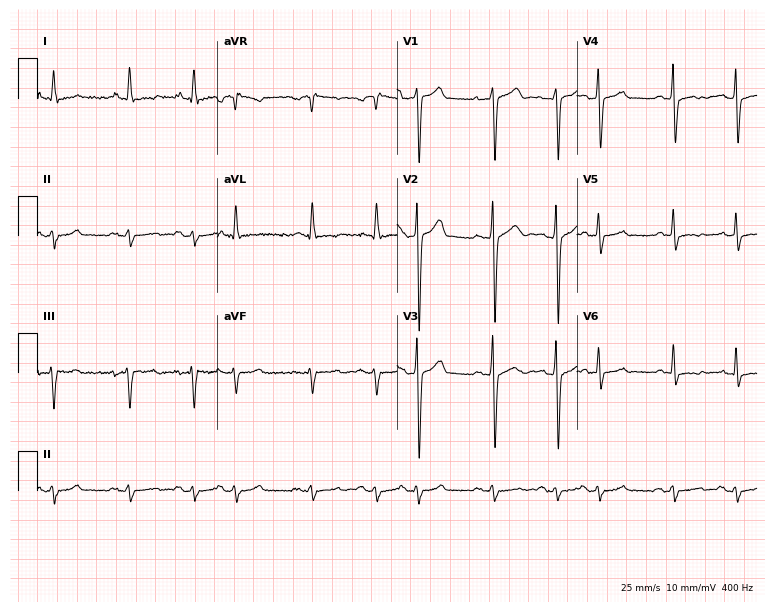
Resting 12-lead electrocardiogram (7.3-second recording at 400 Hz). Patient: a 56-year-old man. None of these six findings is recorded: first-degree AV block, right bundle branch block, left bundle branch block, sinus bradycardia, atrial fibrillation, sinus tachycardia.